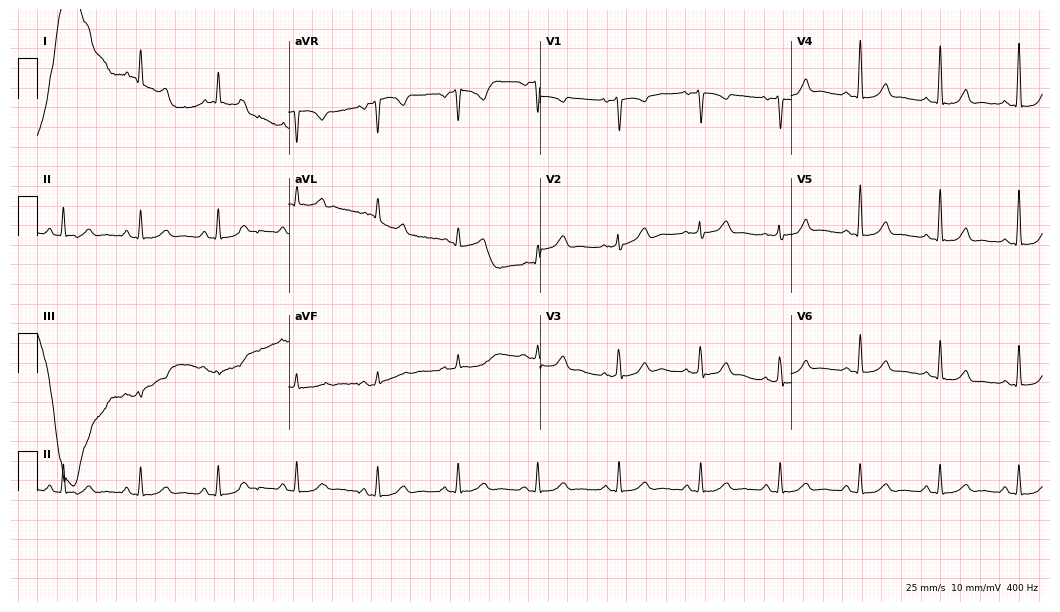
12-lead ECG from a 47-year-old female. Recorded interpretation: within normal limits.